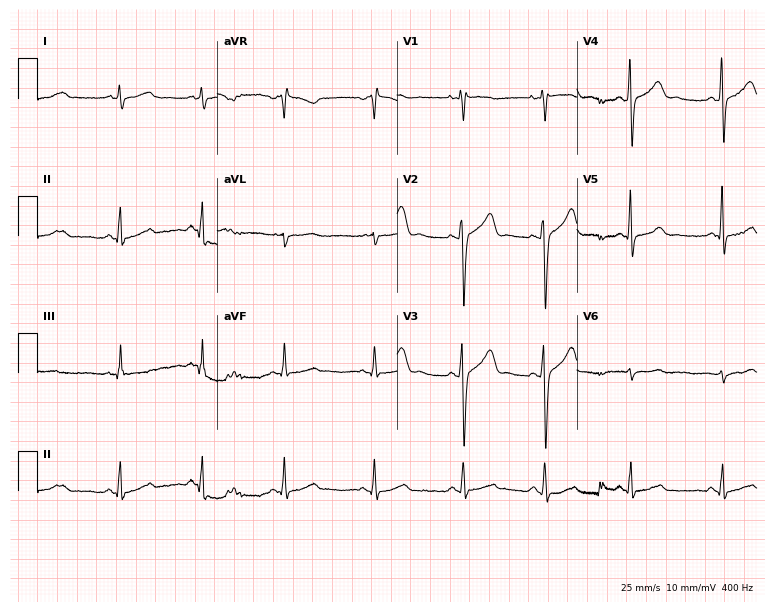
Electrocardiogram (7.3-second recording at 400 Hz), a man, 33 years old. Overall reading on record: normal ECG.